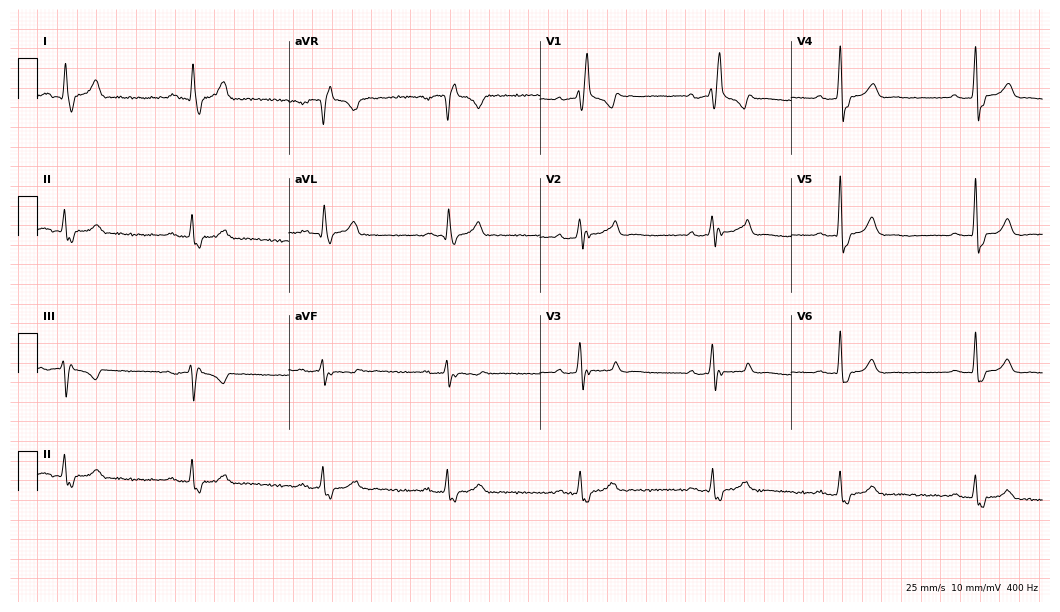
ECG (10.2-second recording at 400 Hz) — a male patient, 56 years old. Screened for six findings — first-degree AV block, right bundle branch block, left bundle branch block, sinus bradycardia, atrial fibrillation, sinus tachycardia — none is recorded.